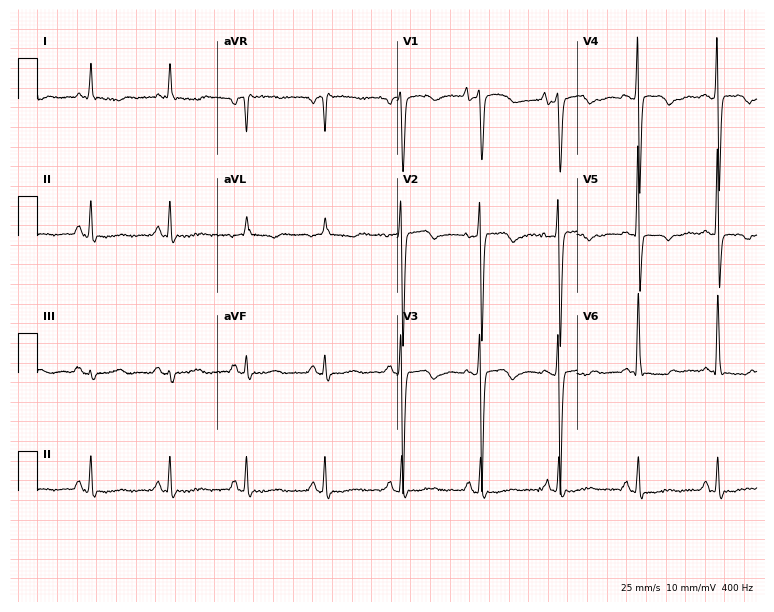
12-lead ECG from a 64-year-old female patient. No first-degree AV block, right bundle branch block, left bundle branch block, sinus bradycardia, atrial fibrillation or sinus tachycardia recorded for this tracing. Only these six findings were labelled.